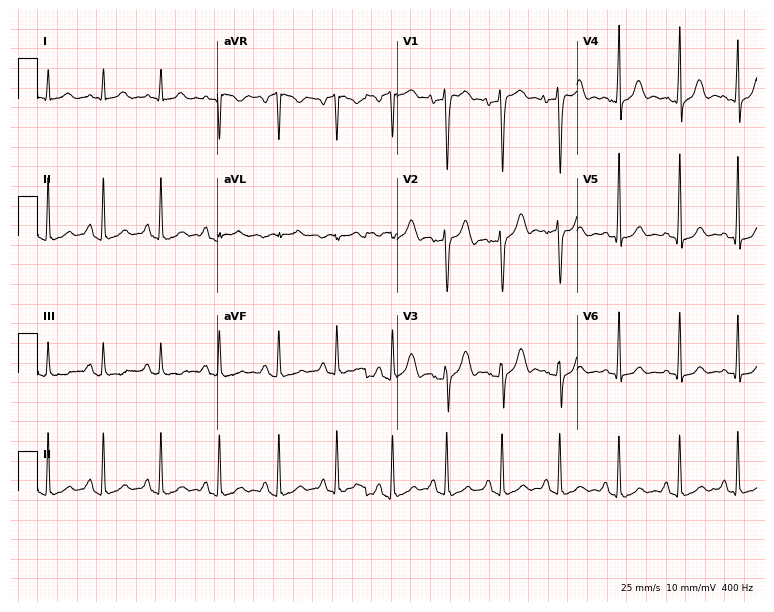
ECG (7.3-second recording at 400 Hz) — a male patient, 28 years old. Screened for six findings — first-degree AV block, right bundle branch block, left bundle branch block, sinus bradycardia, atrial fibrillation, sinus tachycardia — none is recorded. Only these six findings were labelled.